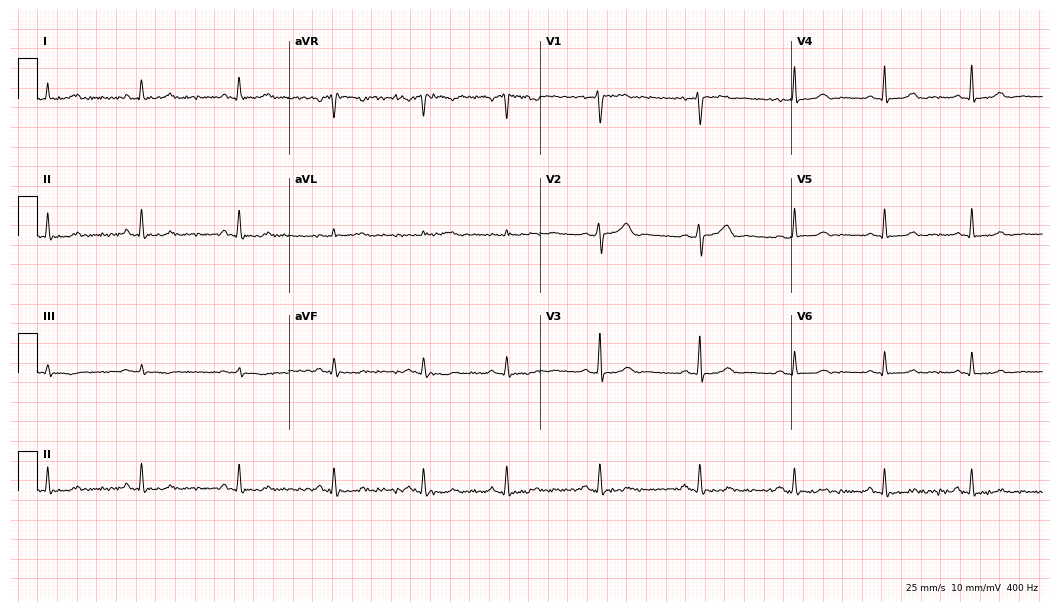
12-lead ECG from a 32-year-old female. Recorded interpretation: within normal limits.